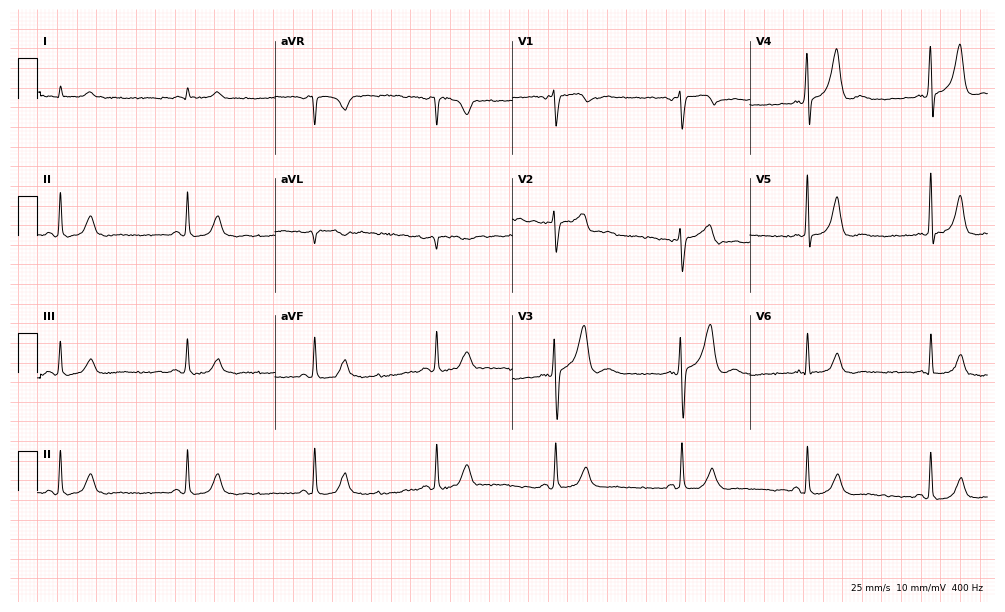
Electrocardiogram (9.7-second recording at 400 Hz), a male patient, 66 years old. Interpretation includes sinus bradycardia (a sinus rate of 50 beats per minute or less).